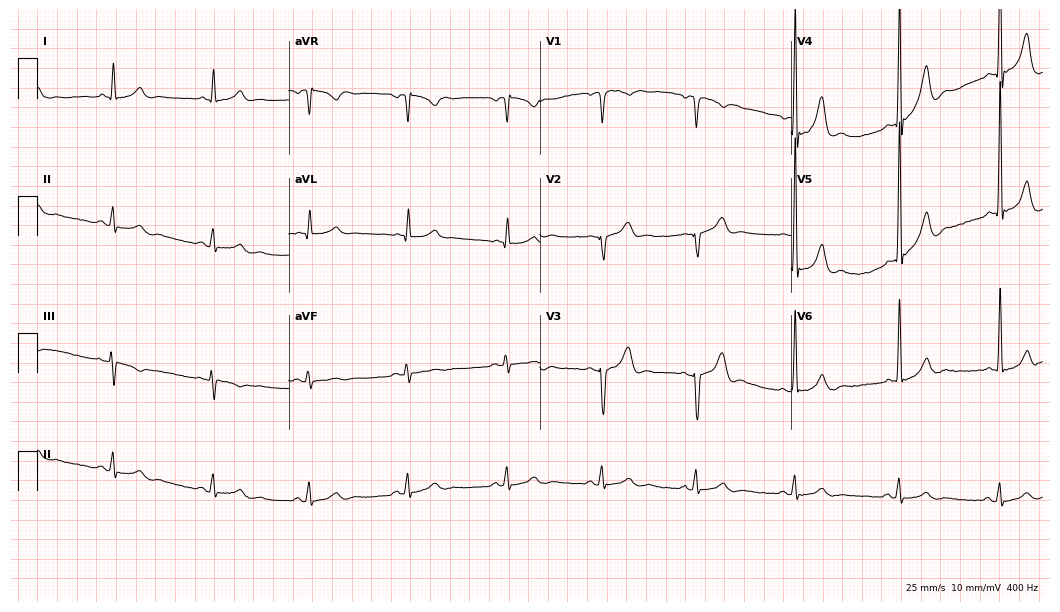
Resting 12-lead electrocardiogram (10.2-second recording at 400 Hz). Patient: a 34-year-old man. None of these six findings is recorded: first-degree AV block, right bundle branch block, left bundle branch block, sinus bradycardia, atrial fibrillation, sinus tachycardia.